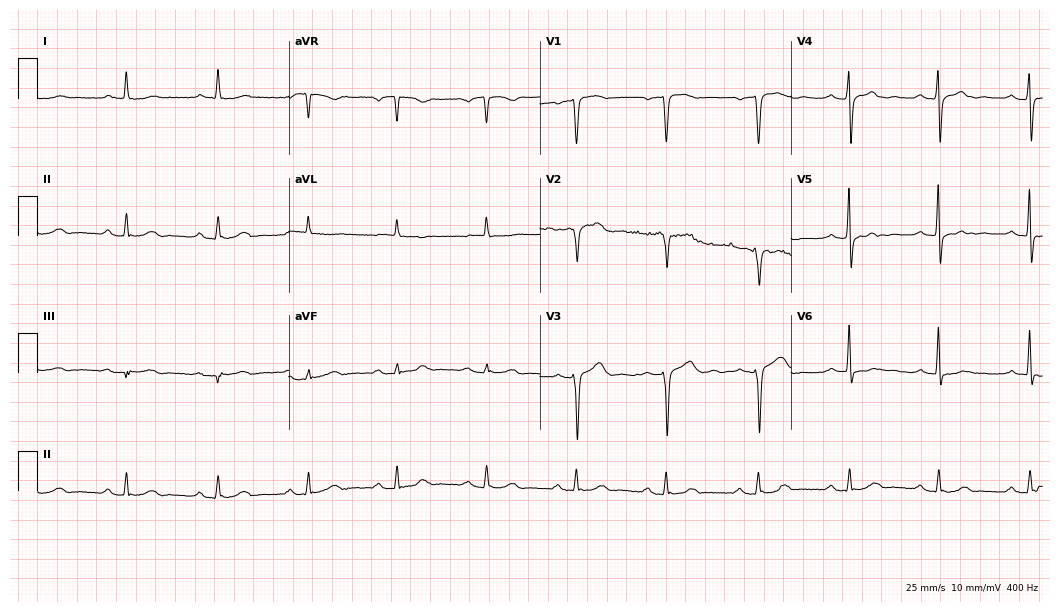
12-lead ECG from a male, 58 years old (10.2-second recording at 400 Hz). No first-degree AV block, right bundle branch block (RBBB), left bundle branch block (LBBB), sinus bradycardia, atrial fibrillation (AF) or sinus tachycardia recorded for this tracing.